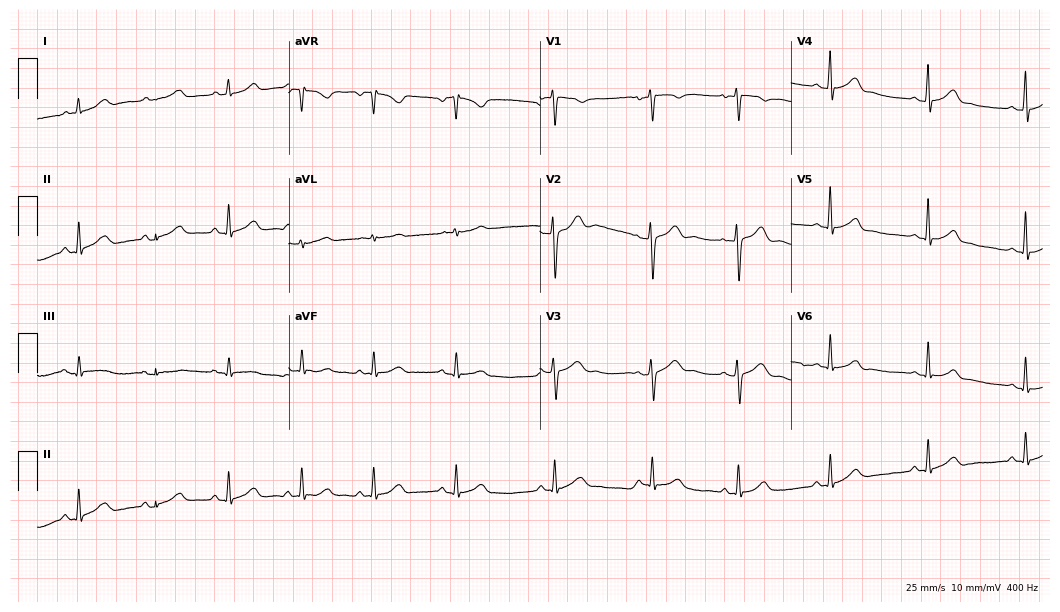
Resting 12-lead electrocardiogram. Patient: a 32-year-old female. None of these six findings is recorded: first-degree AV block, right bundle branch block, left bundle branch block, sinus bradycardia, atrial fibrillation, sinus tachycardia.